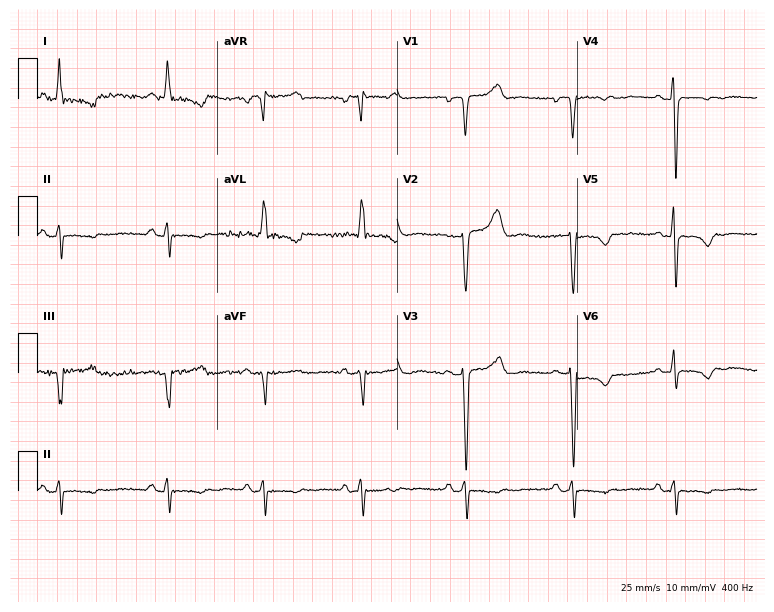
ECG (7.3-second recording at 400 Hz) — a 71-year-old woman. Screened for six findings — first-degree AV block, right bundle branch block, left bundle branch block, sinus bradycardia, atrial fibrillation, sinus tachycardia — none is recorded. Findings outside these six are not listed.